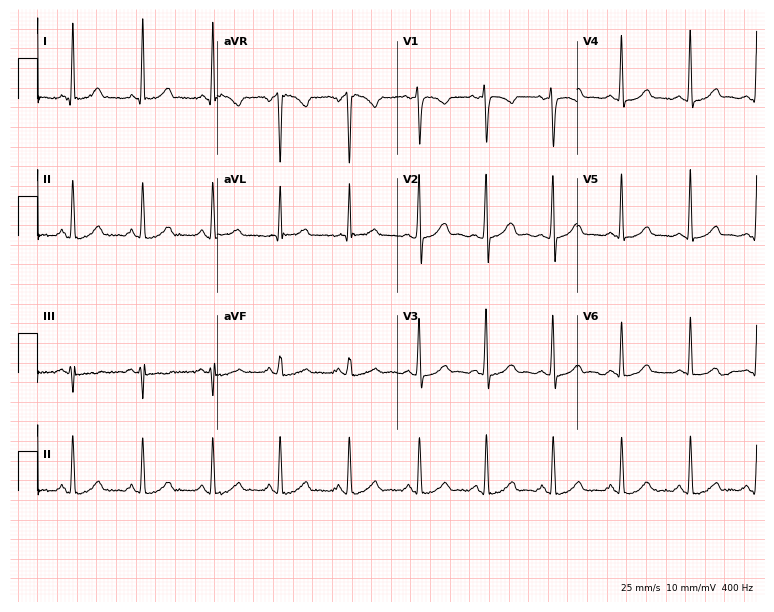
Resting 12-lead electrocardiogram (7.3-second recording at 400 Hz). Patient: a 36-year-old woman. None of these six findings is recorded: first-degree AV block, right bundle branch block, left bundle branch block, sinus bradycardia, atrial fibrillation, sinus tachycardia.